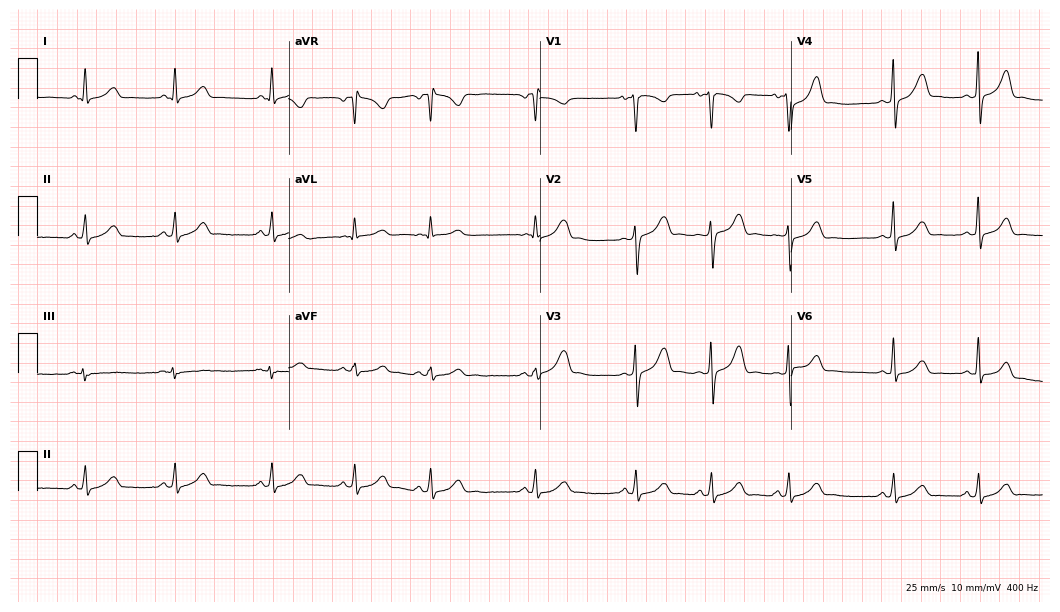
Electrocardiogram, a 22-year-old female. Overall reading on record: normal ECG.